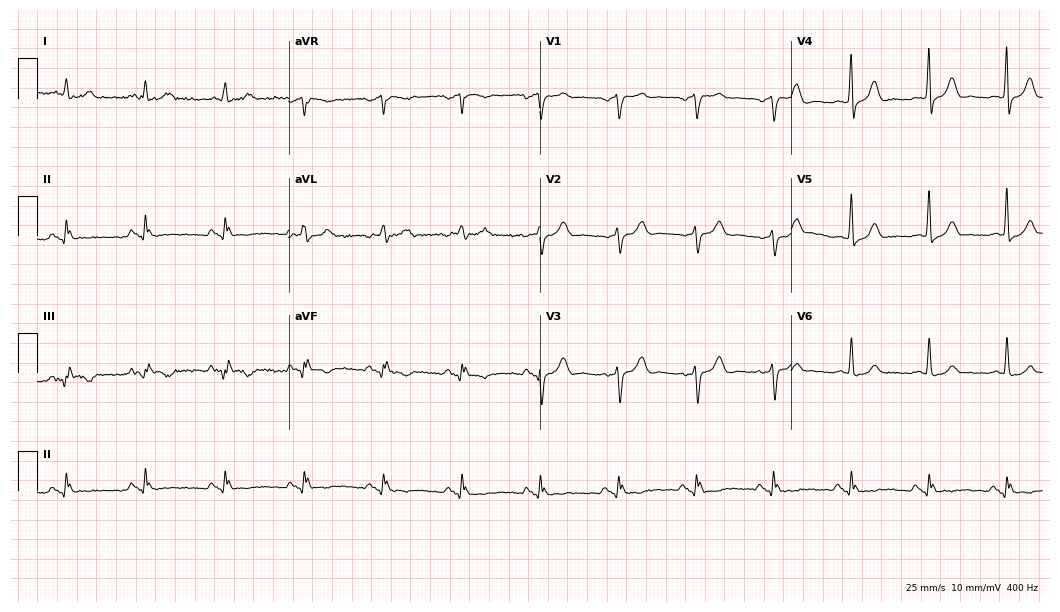
12-lead ECG from a 72-year-old male (10.2-second recording at 400 Hz). No first-degree AV block, right bundle branch block (RBBB), left bundle branch block (LBBB), sinus bradycardia, atrial fibrillation (AF) or sinus tachycardia recorded for this tracing. Only these six findings were labelled.